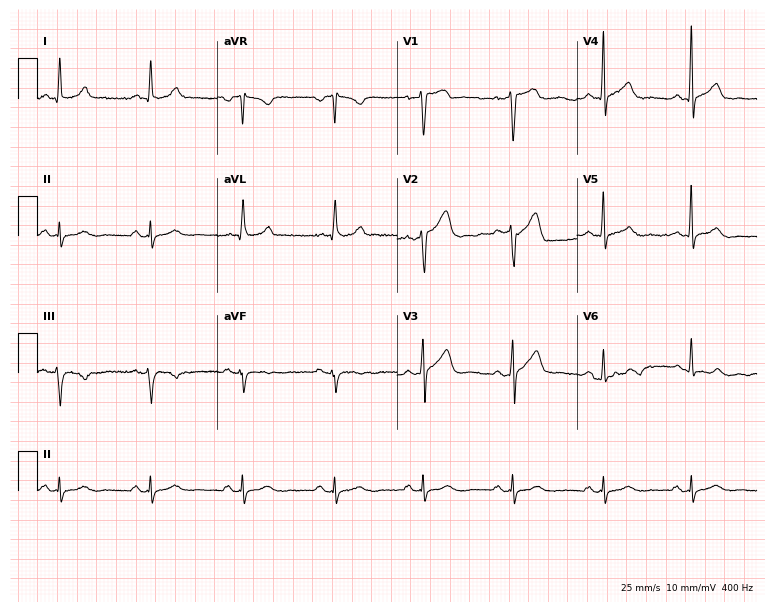
ECG — a man, 60 years old. Labelled as a normal ECG.